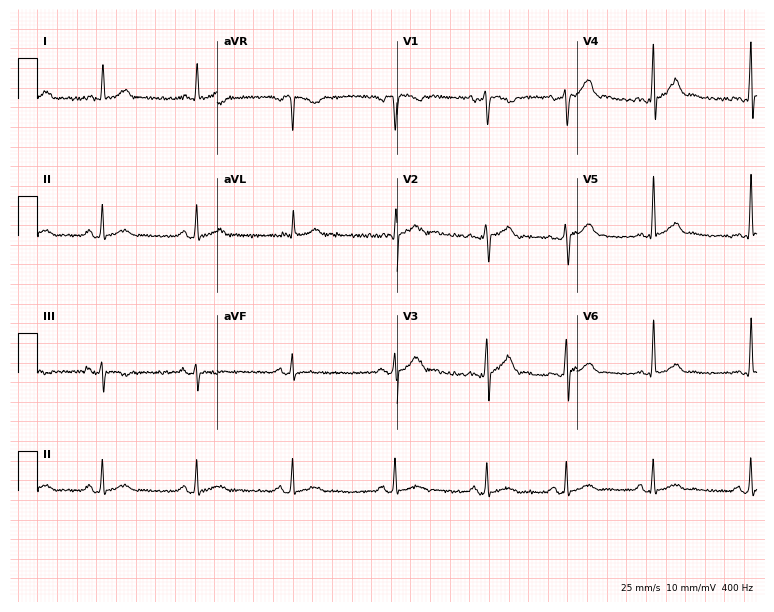
12-lead ECG from a male patient, 26 years old. Screened for six findings — first-degree AV block, right bundle branch block, left bundle branch block, sinus bradycardia, atrial fibrillation, sinus tachycardia — none is recorded.